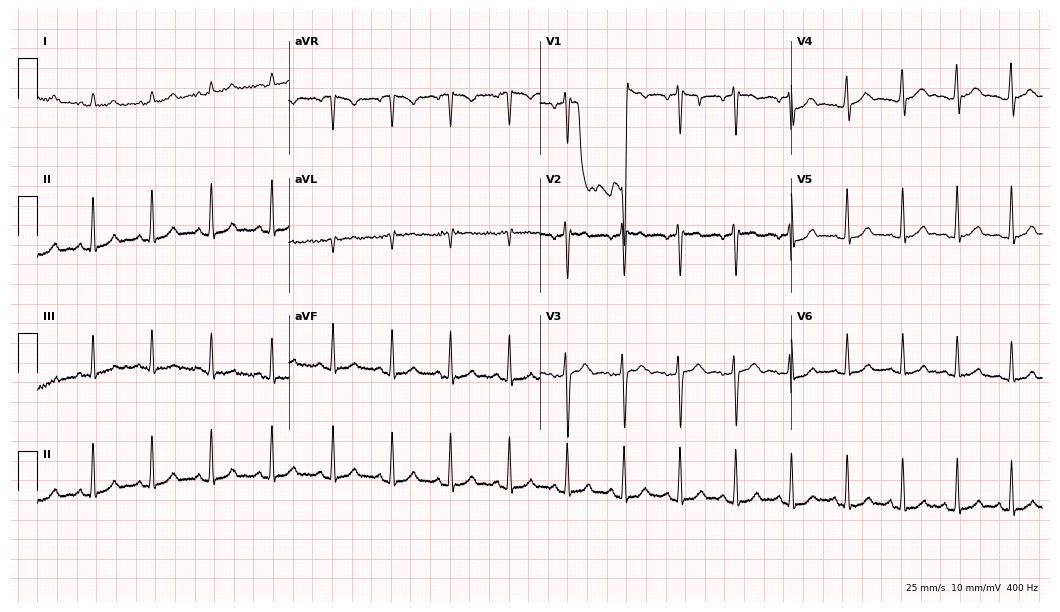
Standard 12-lead ECG recorded from an 18-year-old female. The tracing shows sinus tachycardia (a sinus rate of 100 beats per minute or more).